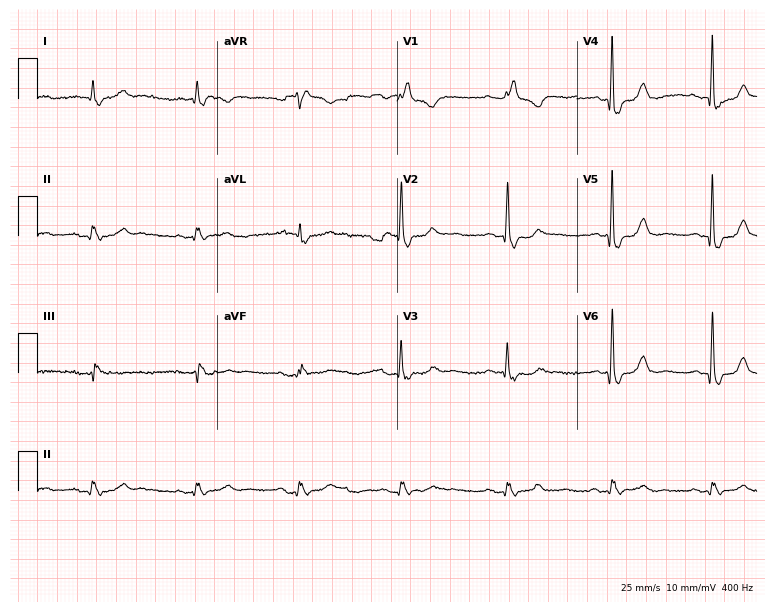
12-lead ECG from a male patient, 80 years old. Shows right bundle branch block.